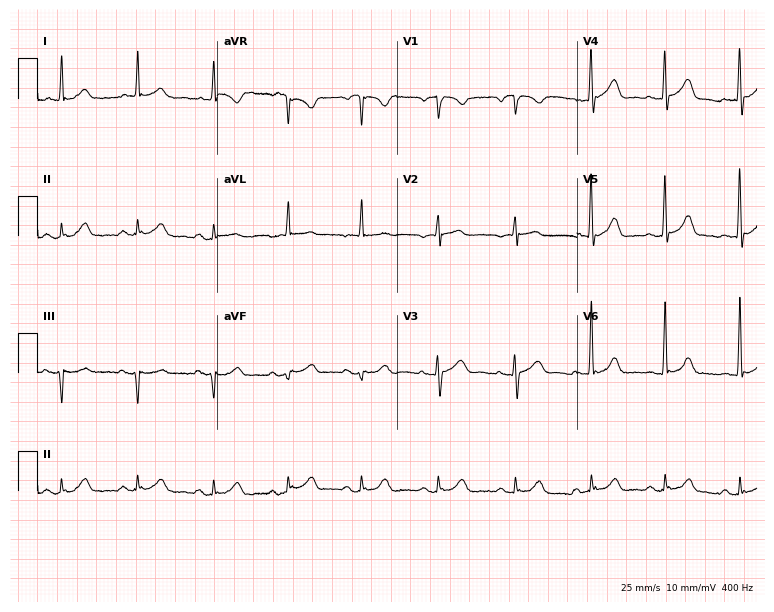
12-lead ECG from a 62-year-old male. Recorded interpretation: within normal limits.